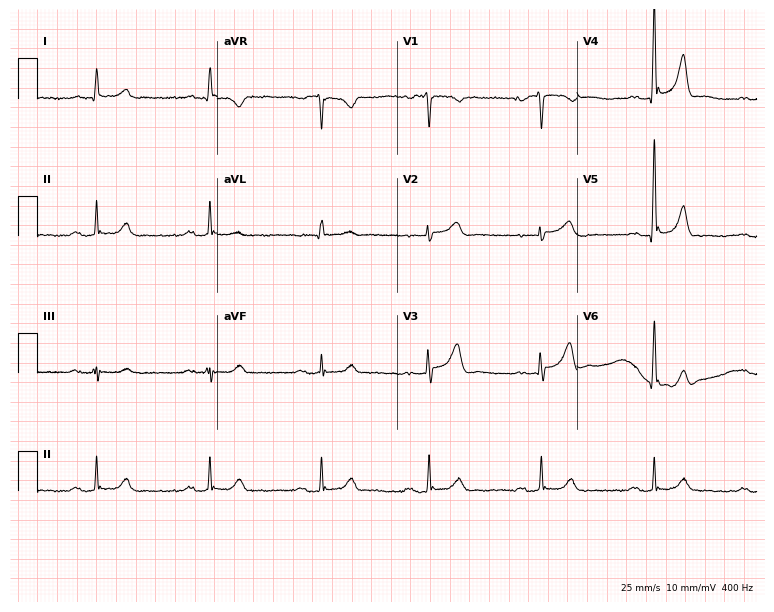
Electrocardiogram (7.3-second recording at 400 Hz), a 69-year-old male patient. Interpretation includes first-degree AV block.